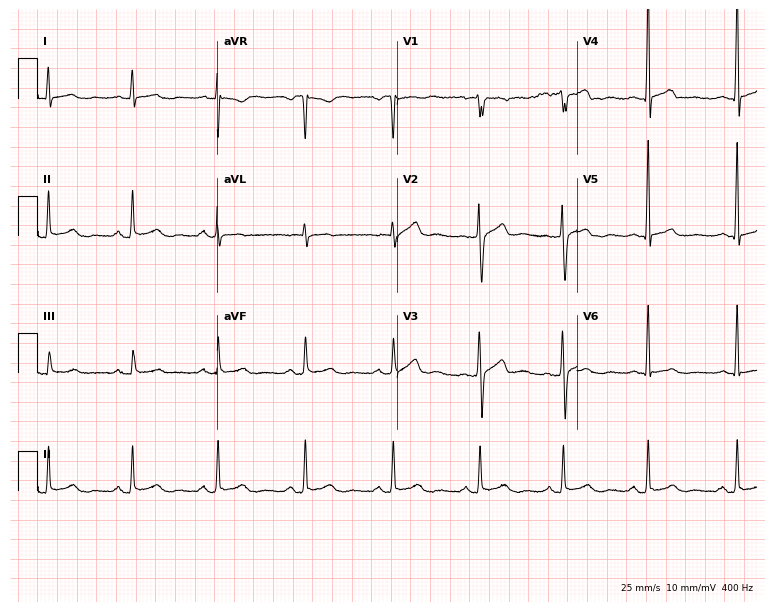
Standard 12-lead ECG recorded from a 37-year-old man (7.3-second recording at 400 Hz). Read as a normal ECG.